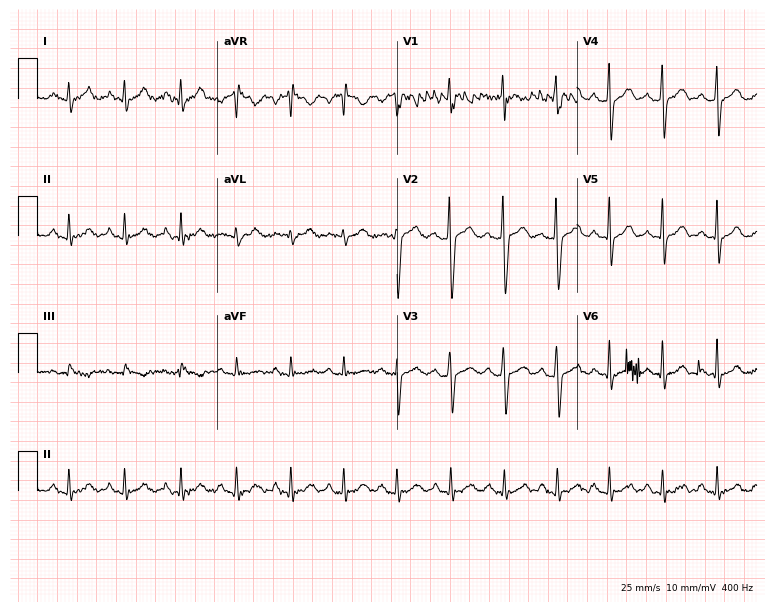
Standard 12-lead ECG recorded from a male patient, 21 years old (7.3-second recording at 400 Hz). The tracing shows sinus tachycardia (a sinus rate of 100 beats per minute or more).